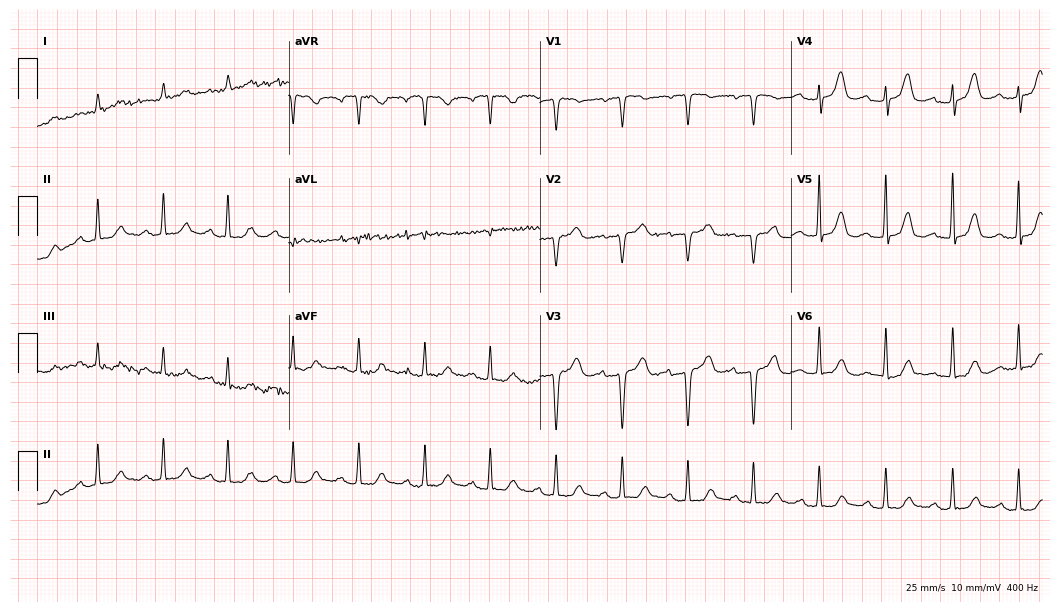
Standard 12-lead ECG recorded from a female patient, 85 years old (10.2-second recording at 400 Hz). Read as a normal ECG.